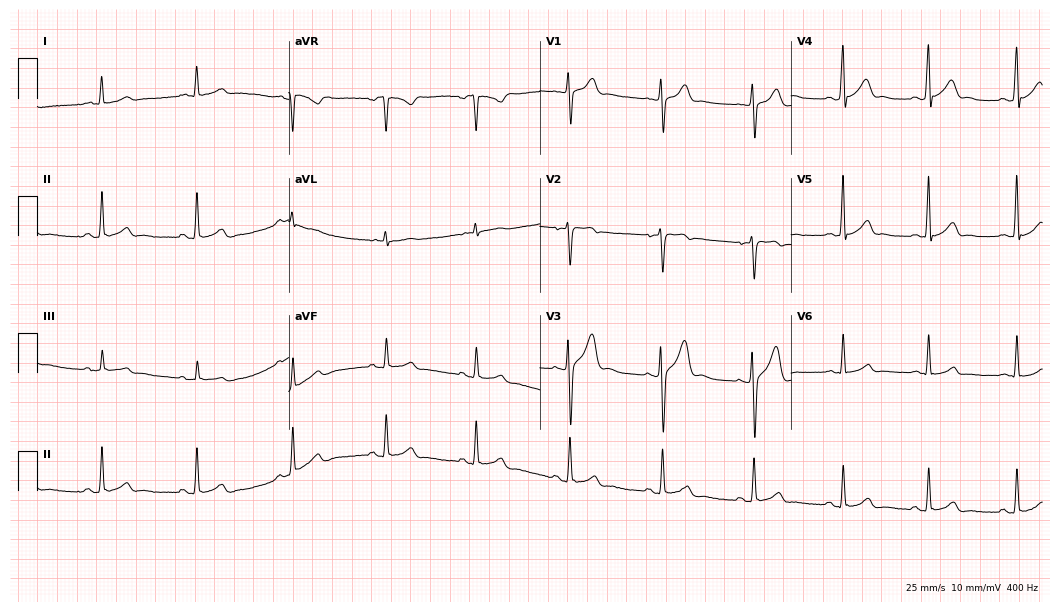
ECG — a 19-year-old man. Labelled as a normal ECG.